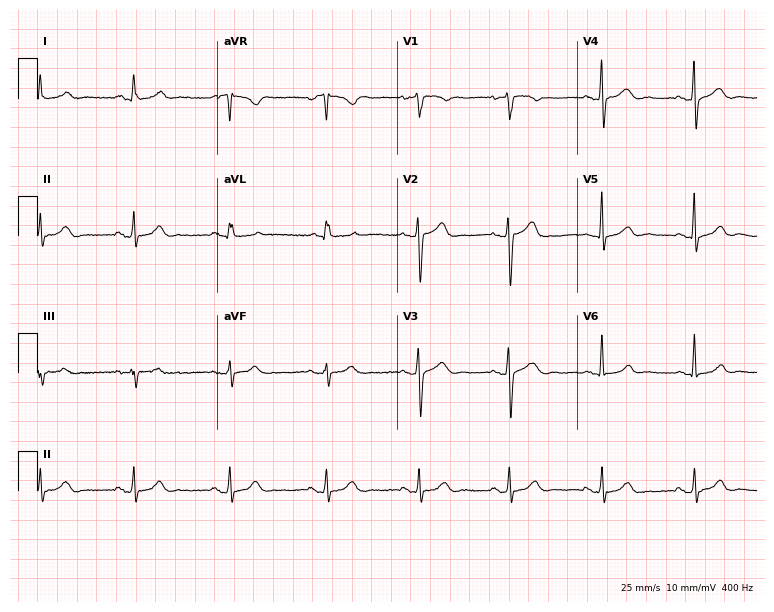
ECG — a woman, 48 years old. Labelled as a normal ECG.